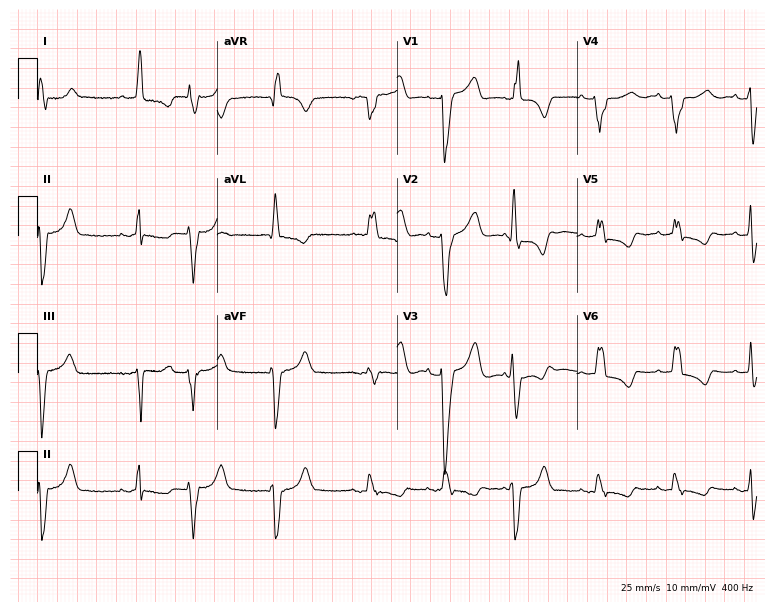
12-lead ECG (7.3-second recording at 400 Hz) from a woman, 75 years old. Screened for six findings — first-degree AV block, right bundle branch block (RBBB), left bundle branch block (LBBB), sinus bradycardia, atrial fibrillation (AF), sinus tachycardia — none is recorded. Only these six findings were labelled.